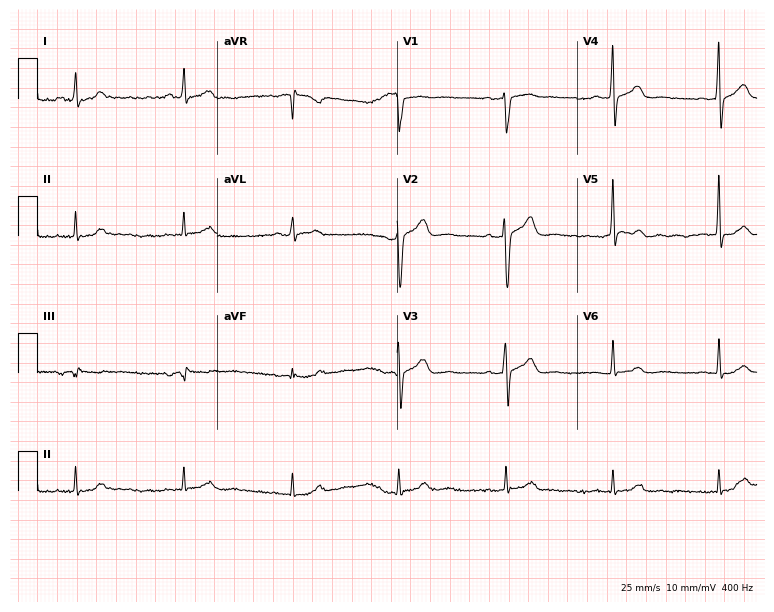
Standard 12-lead ECG recorded from a man, 62 years old (7.3-second recording at 400 Hz). None of these six findings is recorded: first-degree AV block, right bundle branch block, left bundle branch block, sinus bradycardia, atrial fibrillation, sinus tachycardia.